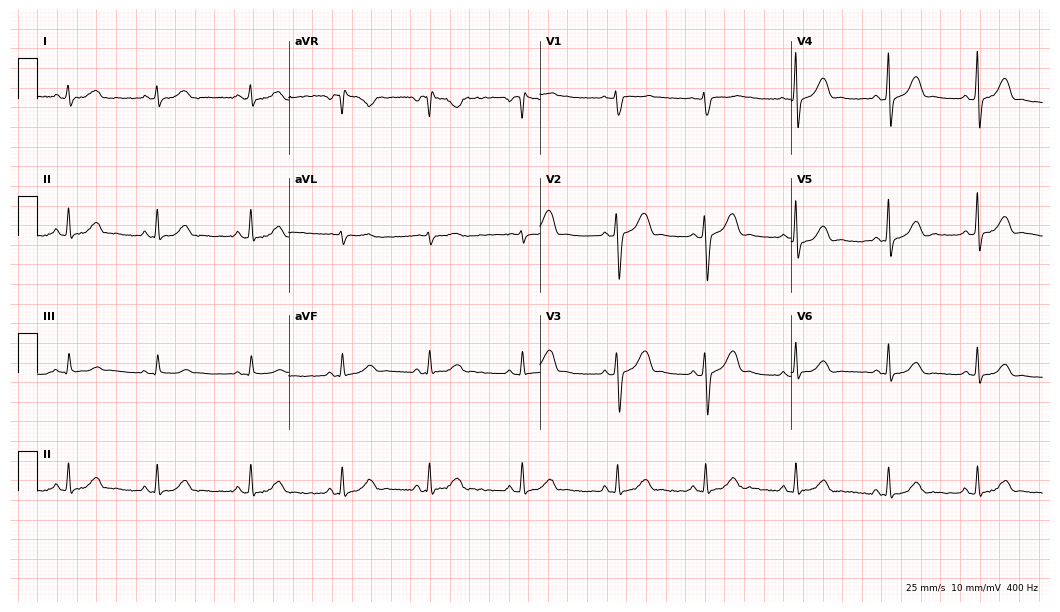
12-lead ECG from a woman, 34 years old. No first-degree AV block, right bundle branch block (RBBB), left bundle branch block (LBBB), sinus bradycardia, atrial fibrillation (AF) or sinus tachycardia recorded for this tracing. Other findings, if any, are not listed.